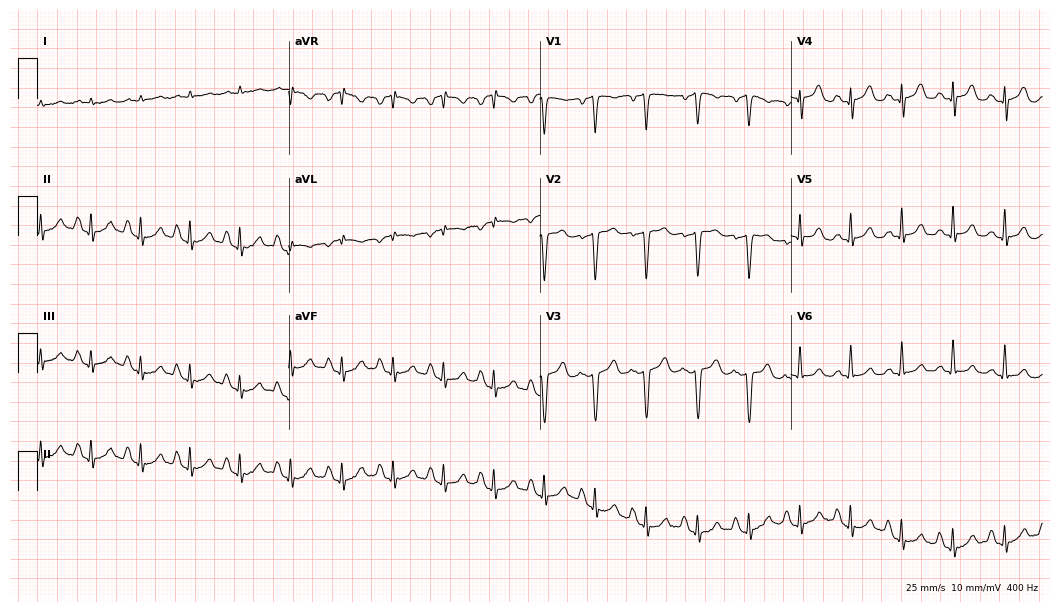
ECG — a man, 72 years old. Screened for six findings — first-degree AV block, right bundle branch block, left bundle branch block, sinus bradycardia, atrial fibrillation, sinus tachycardia — none is recorded. Findings outside these six are not listed.